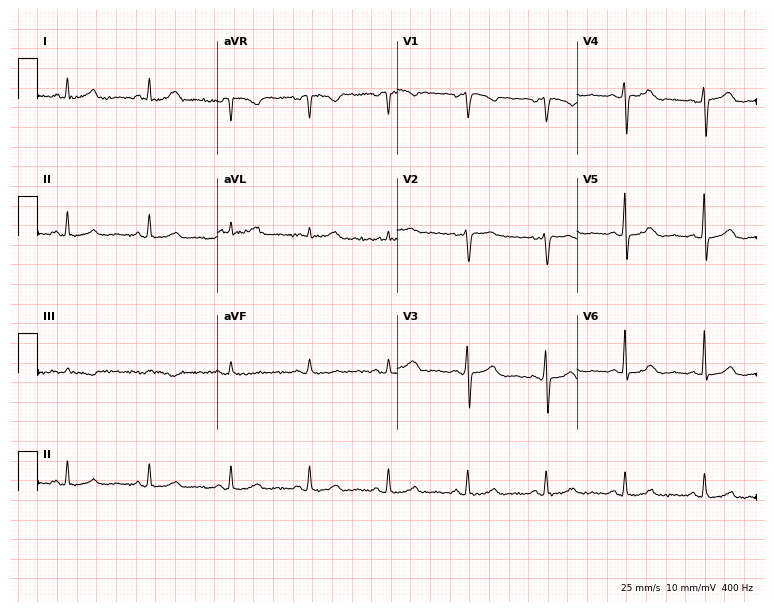
12-lead ECG (7.3-second recording at 400 Hz) from a female, 48 years old. Screened for six findings — first-degree AV block, right bundle branch block, left bundle branch block, sinus bradycardia, atrial fibrillation, sinus tachycardia — none is recorded.